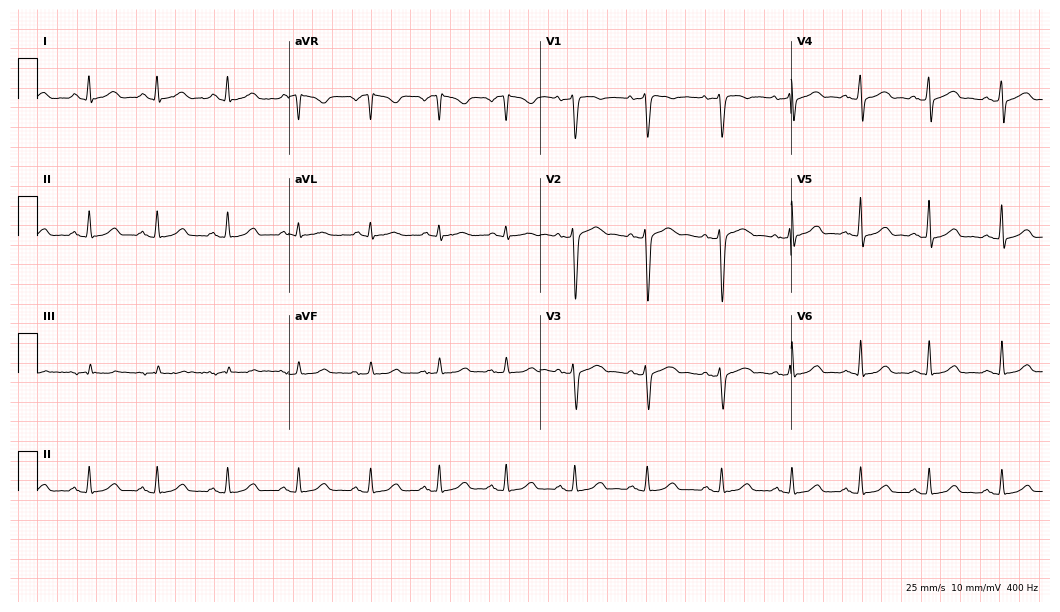
12-lead ECG from a man, 38 years old. Recorded interpretation: within normal limits.